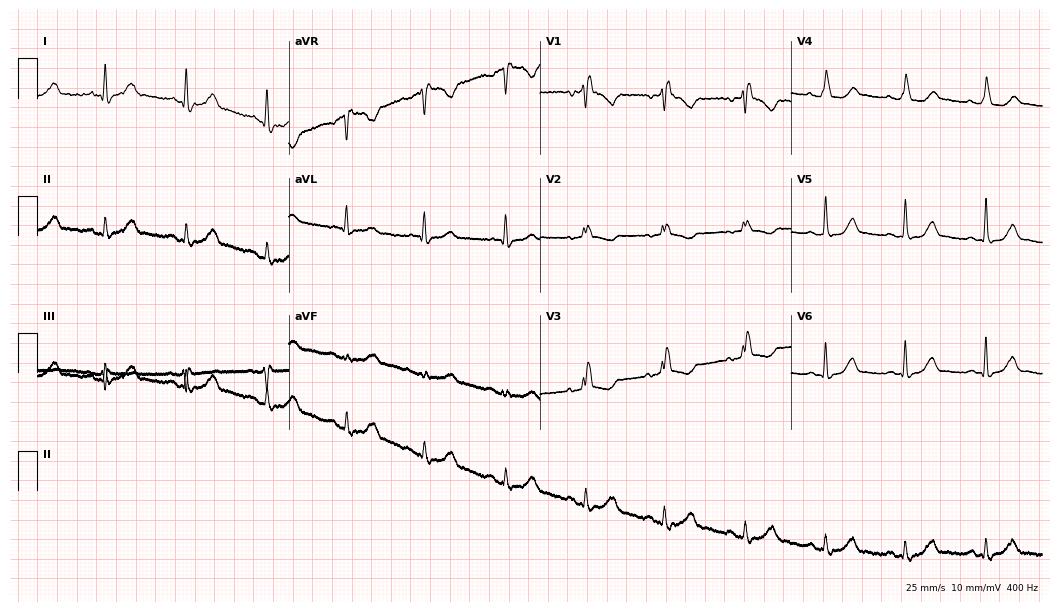
12-lead ECG from a 71-year-old female patient. No first-degree AV block, right bundle branch block, left bundle branch block, sinus bradycardia, atrial fibrillation or sinus tachycardia recorded for this tracing.